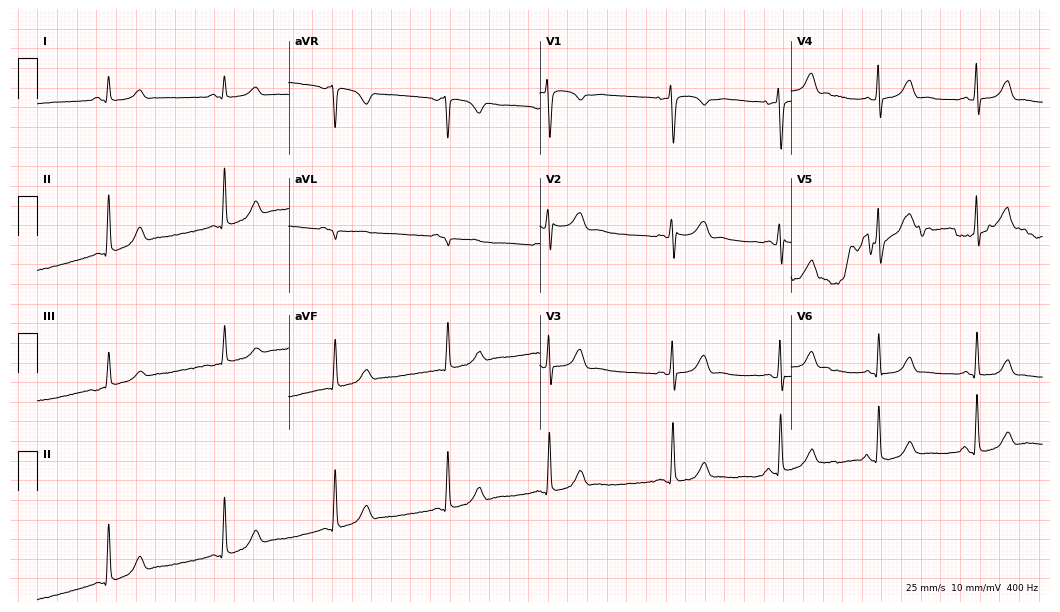
Resting 12-lead electrocardiogram (10.2-second recording at 400 Hz). Patient: a 39-year-old woman. None of these six findings is recorded: first-degree AV block, right bundle branch block, left bundle branch block, sinus bradycardia, atrial fibrillation, sinus tachycardia. Only these six findings were labelled.